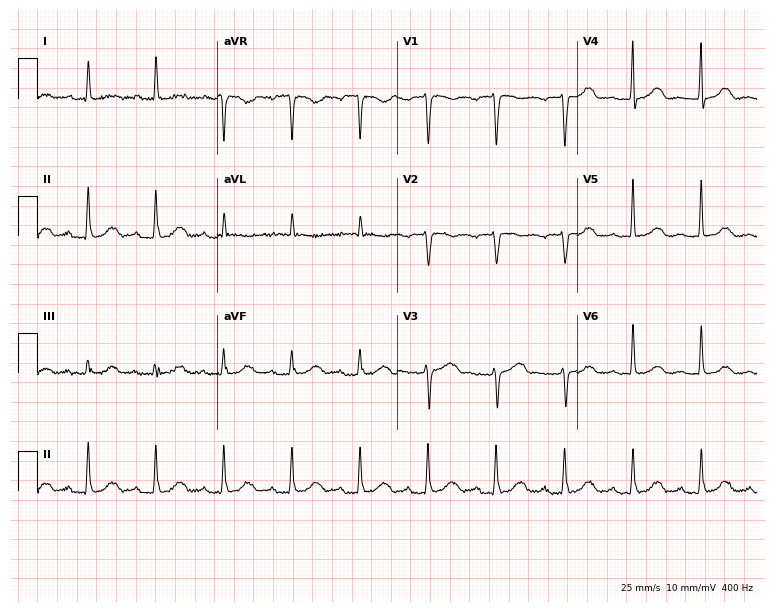
ECG (7.3-second recording at 400 Hz) — a 67-year-old female. Labelled as a normal ECG.